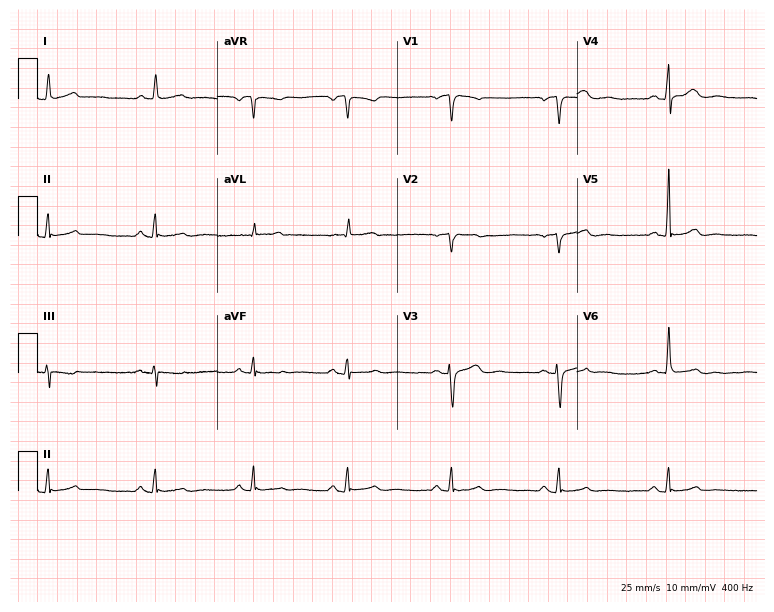
Resting 12-lead electrocardiogram. Patient: a woman, 40 years old. None of these six findings is recorded: first-degree AV block, right bundle branch block, left bundle branch block, sinus bradycardia, atrial fibrillation, sinus tachycardia.